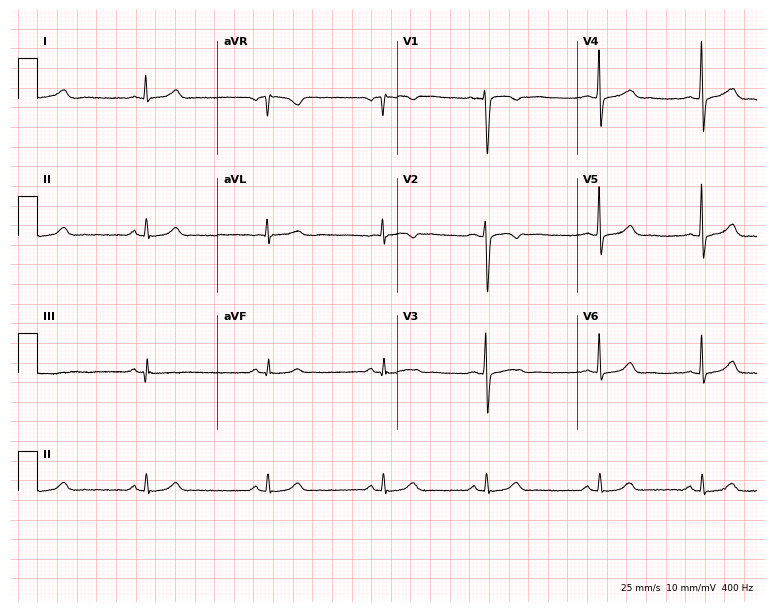
Standard 12-lead ECG recorded from a female patient, 30 years old. None of these six findings is recorded: first-degree AV block, right bundle branch block (RBBB), left bundle branch block (LBBB), sinus bradycardia, atrial fibrillation (AF), sinus tachycardia. Only these six findings were labelled.